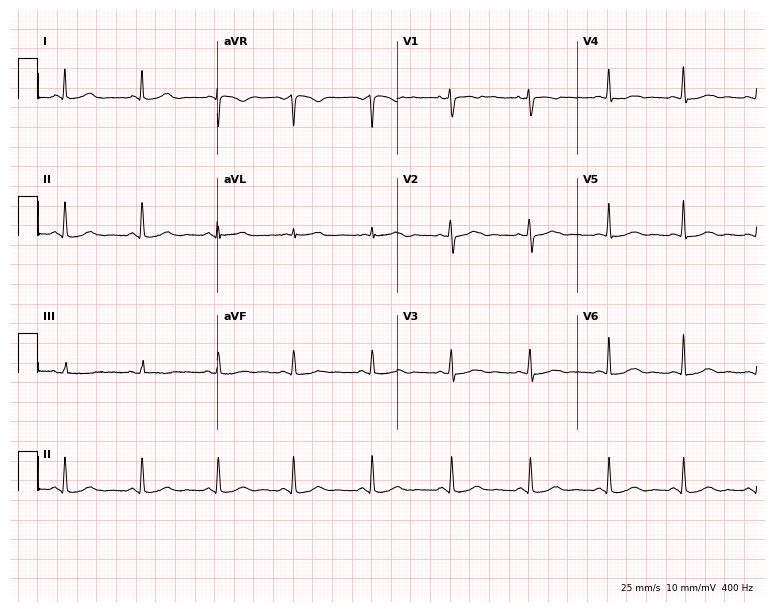
Electrocardiogram, a female, 40 years old. Of the six screened findings (first-degree AV block, right bundle branch block, left bundle branch block, sinus bradycardia, atrial fibrillation, sinus tachycardia), none is recorded. Other findings, if any, are not listed.